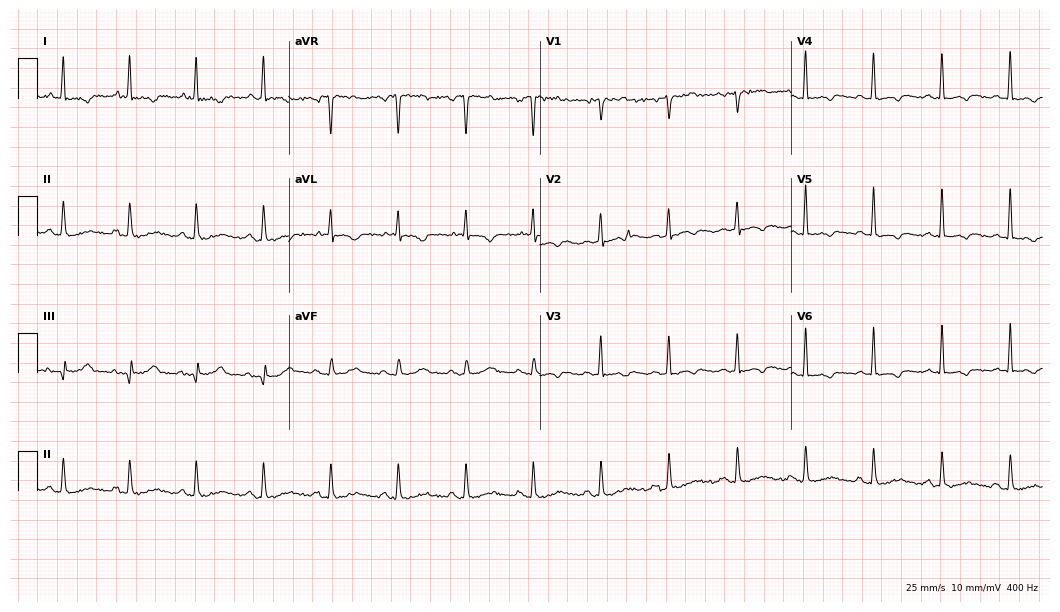
Electrocardiogram, a 48-year-old male patient. Of the six screened findings (first-degree AV block, right bundle branch block, left bundle branch block, sinus bradycardia, atrial fibrillation, sinus tachycardia), none is recorded.